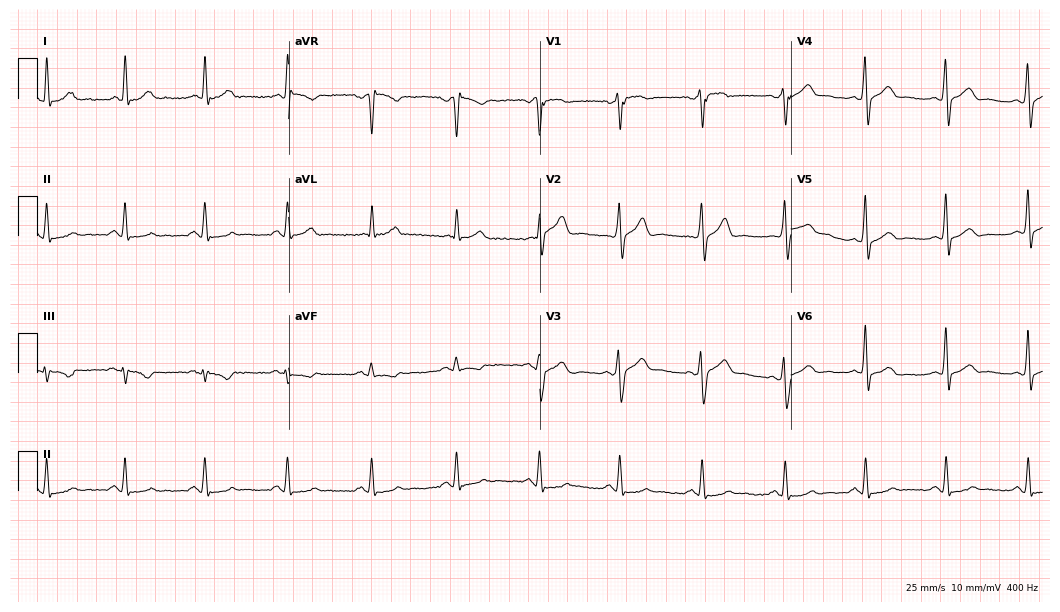
Standard 12-lead ECG recorded from a 48-year-old man. Read as a normal ECG.